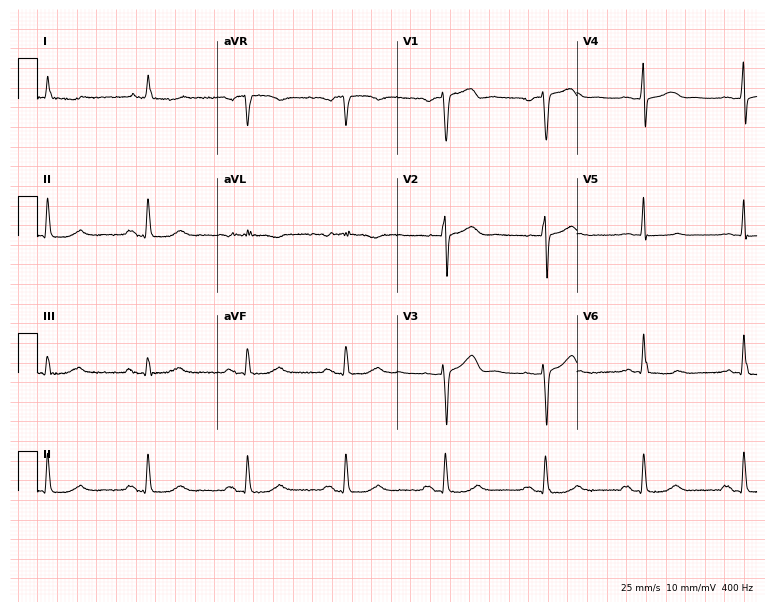
Resting 12-lead electrocardiogram. Patient: a male, 67 years old. None of these six findings is recorded: first-degree AV block, right bundle branch block, left bundle branch block, sinus bradycardia, atrial fibrillation, sinus tachycardia. Only these six findings were labelled.